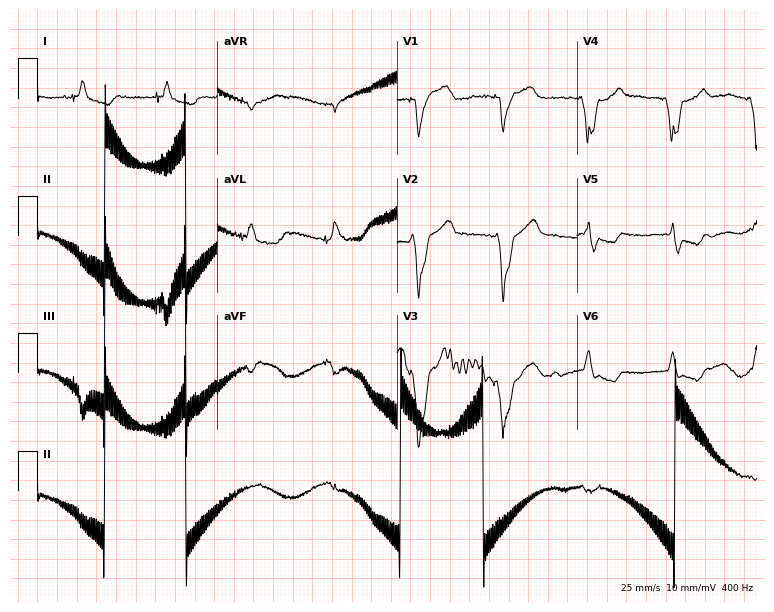
Electrocardiogram, an 82-year-old male patient. Of the six screened findings (first-degree AV block, right bundle branch block, left bundle branch block, sinus bradycardia, atrial fibrillation, sinus tachycardia), none is recorded.